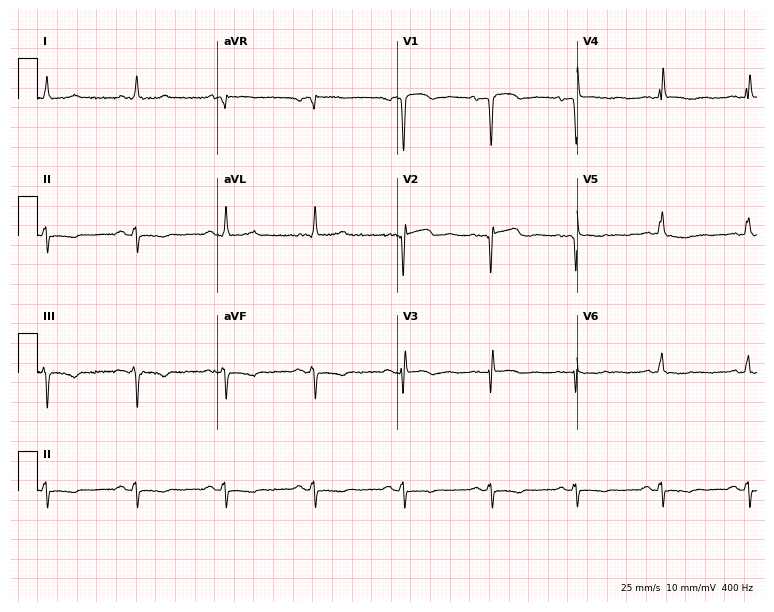
ECG (7.3-second recording at 400 Hz) — a 68-year-old male. Screened for six findings — first-degree AV block, right bundle branch block, left bundle branch block, sinus bradycardia, atrial fibrillation, sinus tachycardia — none is recorded.